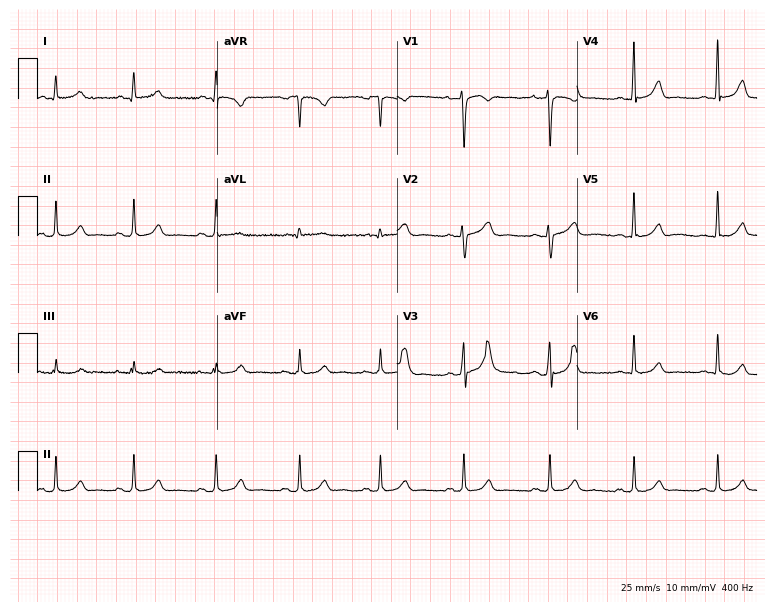
ECG — a 35-year-old female patient. Labelled as a normal ECG.